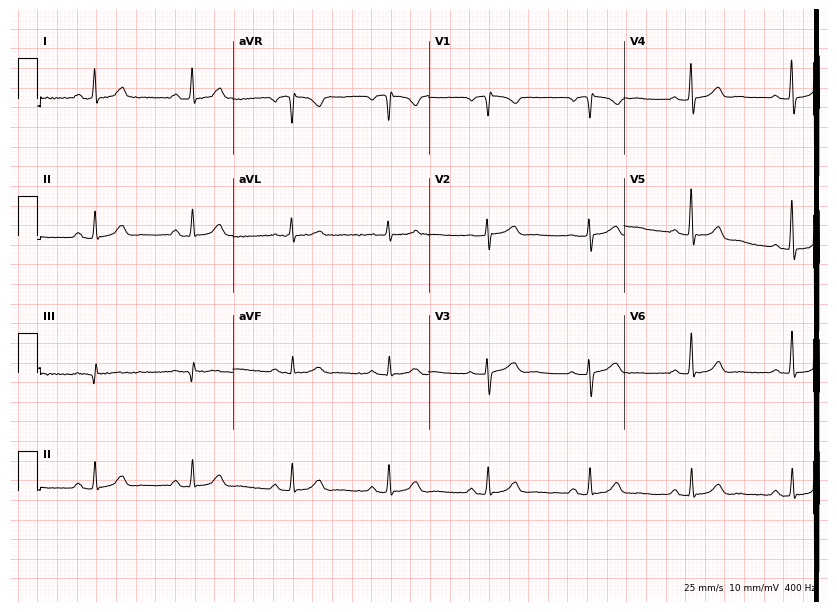
Resting 12-lead electrocardiogram (8-second recording at 400 Hz). Patient: a woman, 61 years old. None of these six findings is recorded: first-degree AV block, right bundle branch block, left bundle branch block, sinus bradycardia, atrial fibrillation, sinus tachycardia. Findings outside these six are not listed.